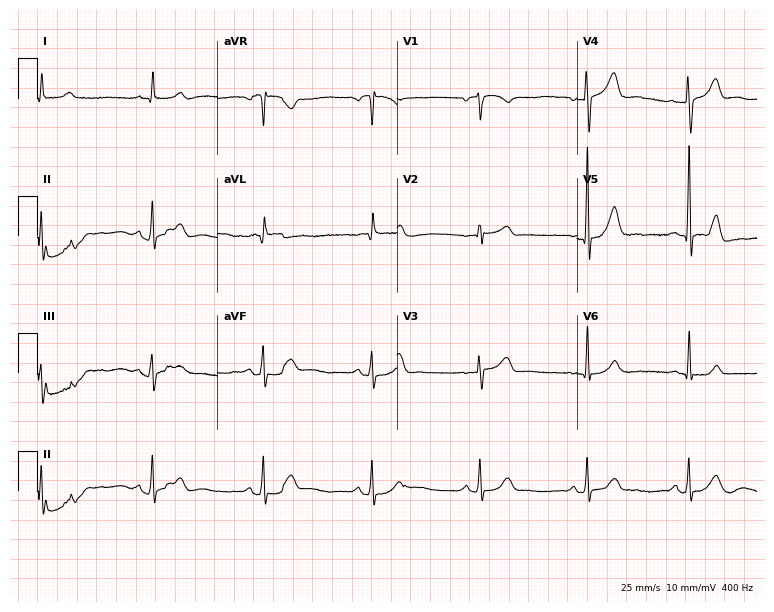
Electrocardiogram (7.3-second recording at 400 Hz), a male patient, 68 years old. Overall reading on record: normal ECG.